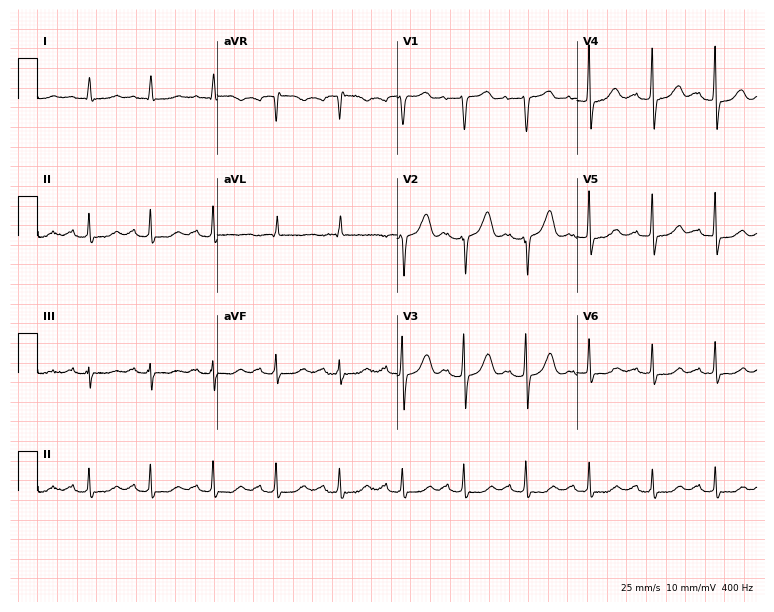
ECG — a 61-year-old female. Findings include first-degree AV block.